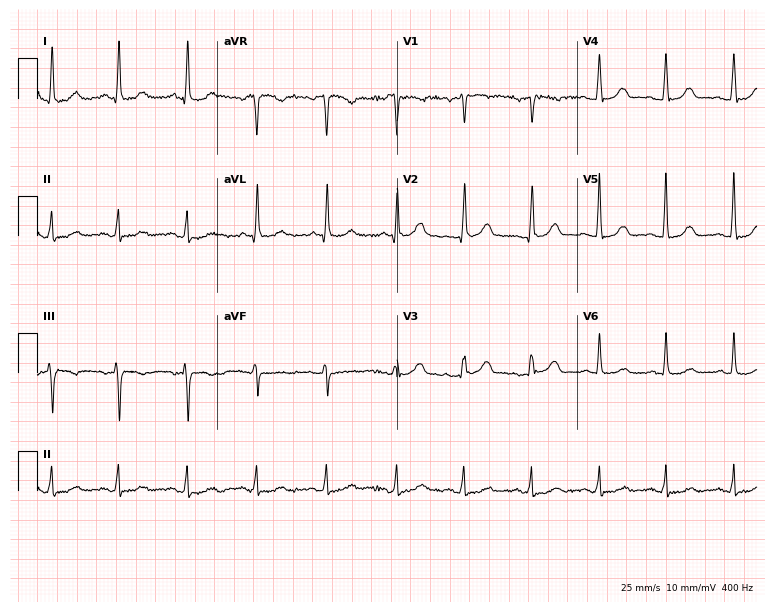
12-lead ECG (7.3-second recording at 400 Hz) from an 84-year-old female. Screened for six findings — first-degree AV block, right bundle branch block, left bundle branch block, sinus bradycardia, atrial fibrillation, sinus tachycardia — none is recorded. Only these six findings were labelled.